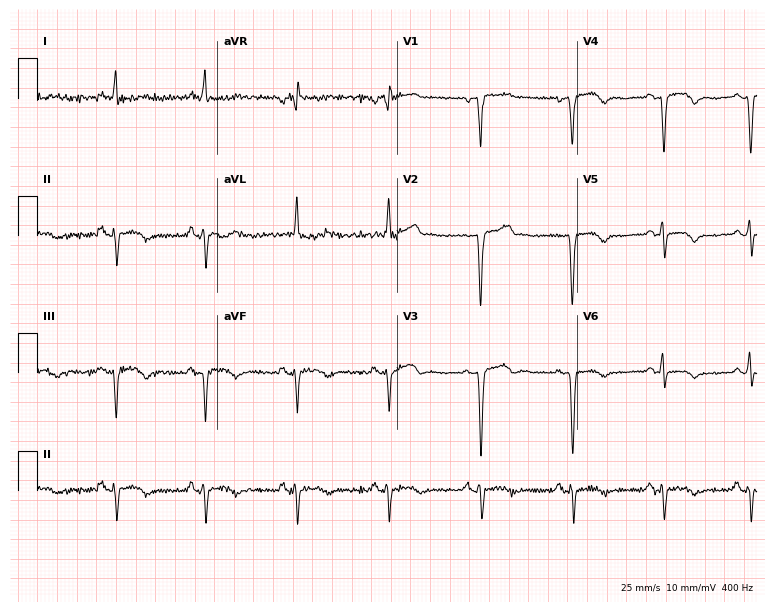
12-lead ECG from a 71-year-old female. No first-degree AV block, right bundle branch block (RBBB), left bundle branch block (LBBB), sinus bradycardia, atrial fibrillation (AF) or sinus tachycardia recorded for this tracing.